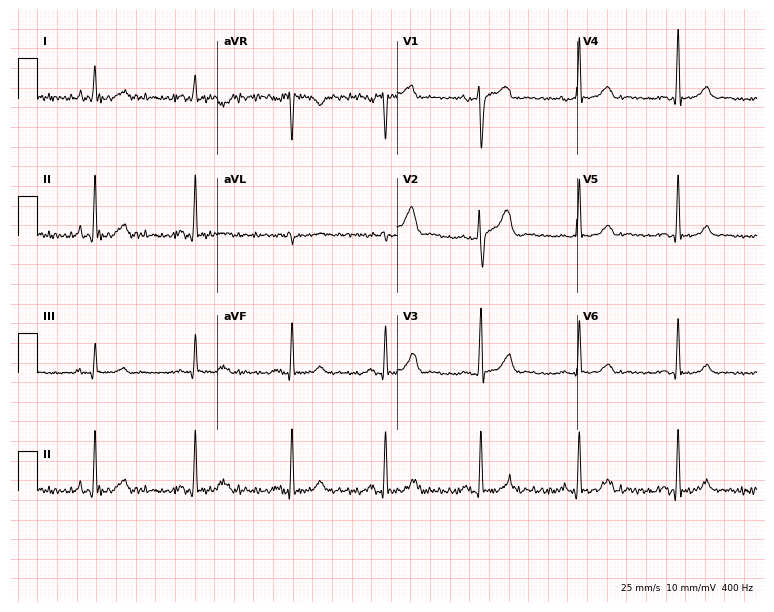
ECG — a man, 52 years old. Screened for six findings — first-degree AV block, right bundle branch block, left bundle branch block, sinus bradycardia, atrial fibrillation, sinus tachycardia — none is recorded. Other findings, if any, are not listed.